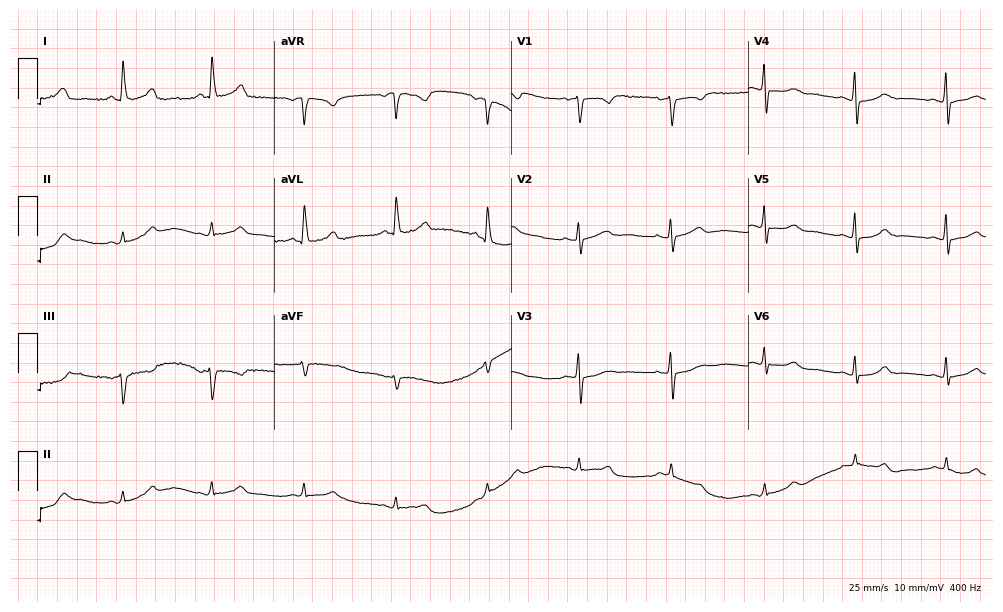
ECG — a 68-year-old female patient. Labelled as a normal ECG.